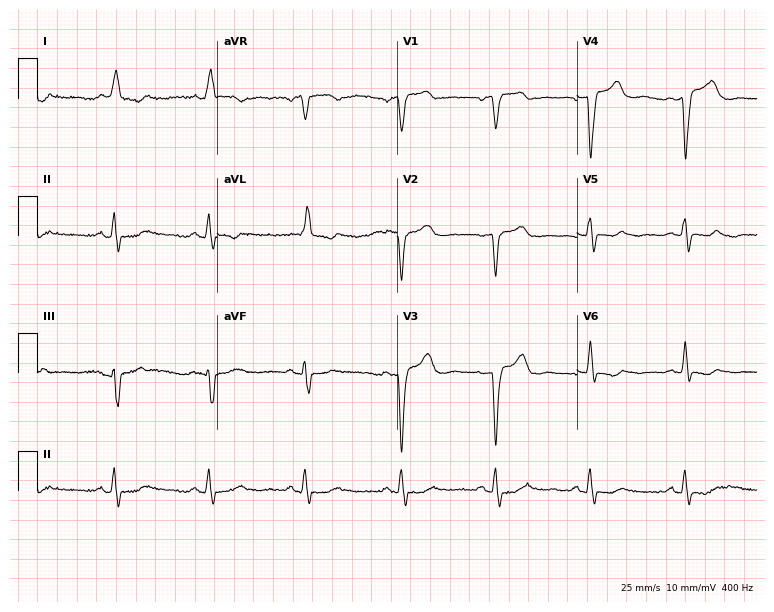
12-lead ECG from an 82-year-old female. No first-degree AV block, right bundle branch block (RBBB), left bundle branch block (LBBB), sinus bradycardia, atrial fibrillation (AF) or sinus tachycardia recorded for this tracing. Findings outside these six are not listed.